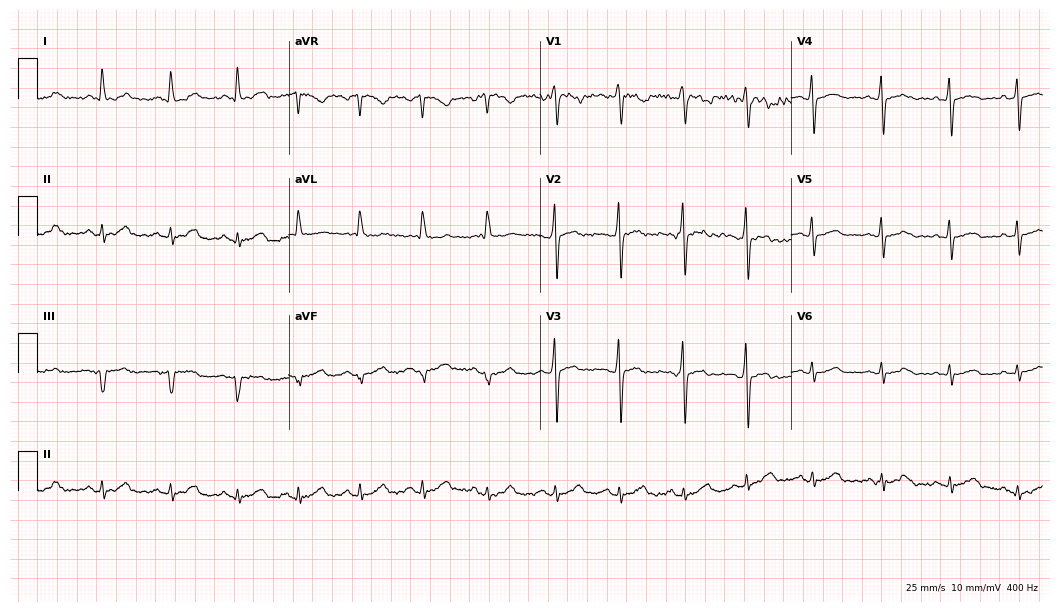
ECG — a 53-year-old female. Labelled as a normal ECG.